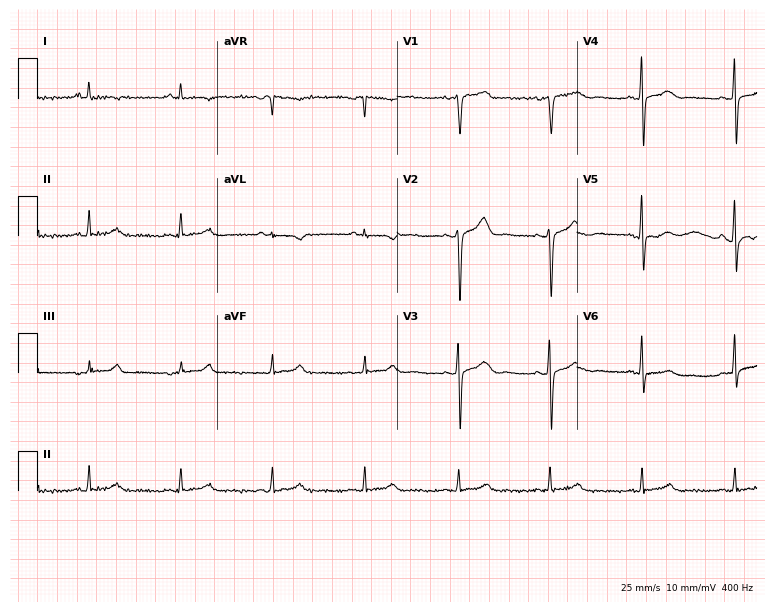
Resting 12-lead electrocardiogram (7.3-second recording at 400 Hz). Patient: a 63-year-old female. None of these six findings is recorded: first-degree AV block, right bundle branch block, left bundle branch block, sinus bradycardia, atrial fibrillation, sinus tachycardia.